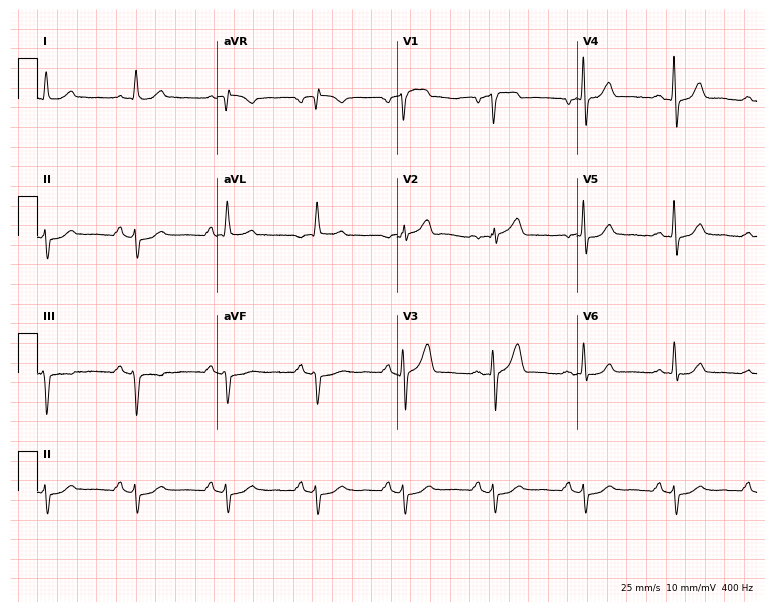
12-lead ECG from a 60-year-old male (7.3-second recording at 400 Hz). No first-degree AV block, right bundle branch block, left bundle branch block, sinus bradycardia, atrial fibrillation or sinus tachycardia recorded for this tracing.